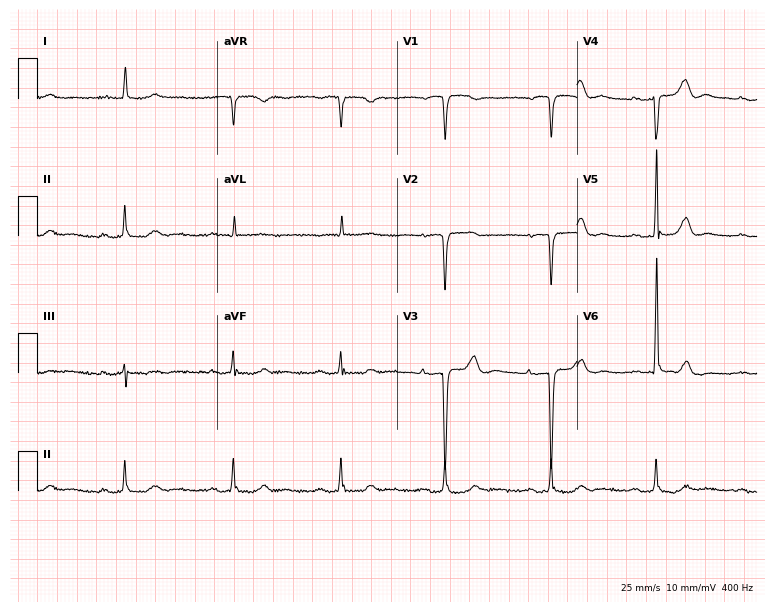
12-lead ECG from a male, 78 years old. Shows first-degree AV block.